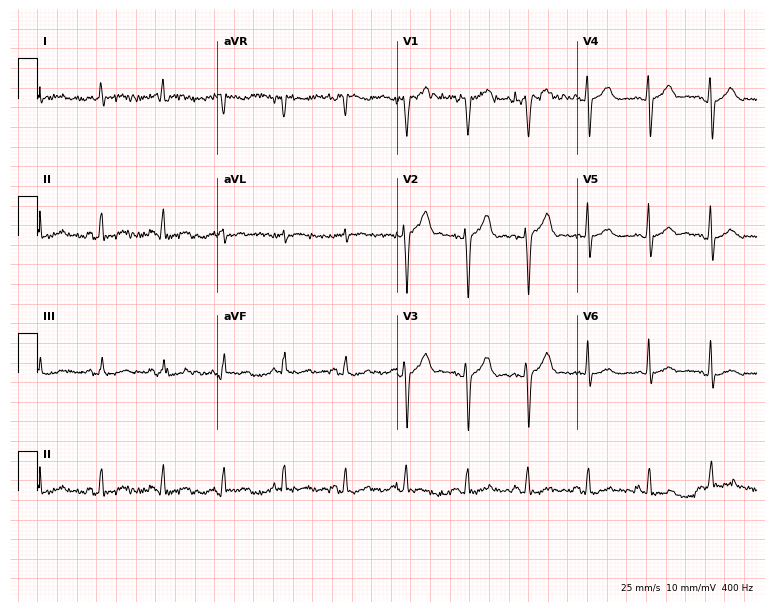
ECG (7.3-second recording at 400 Hz) — a 42-year-old man. Screened for six findings — first-degree AV block, right bundle branch block (RBBB), left bundle branch block (LBBB), sinus bradycardia, atrial fibrillation (AF), sinus tachycardia — none is recorded. Findings outside these six are not listed.